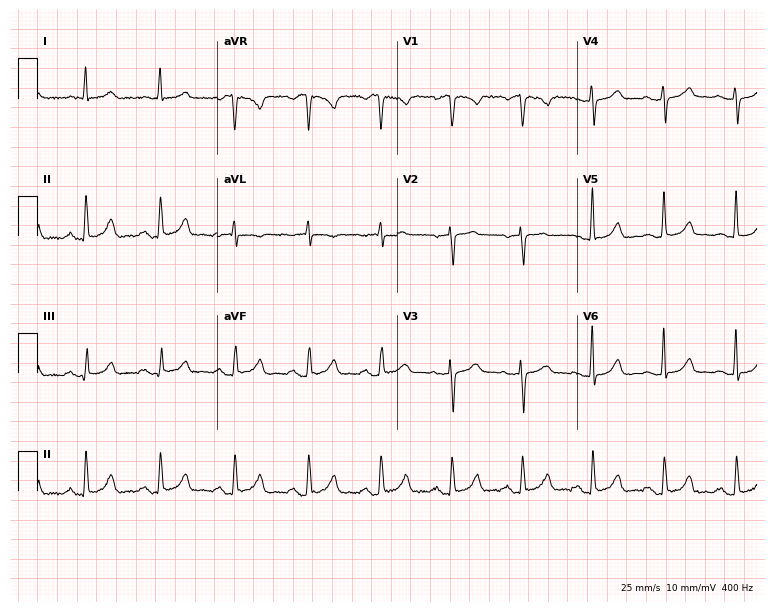
ECG (7.3-second recording at 400 Hz) — a woman, 67 years old. Labelled as a normal ECG.